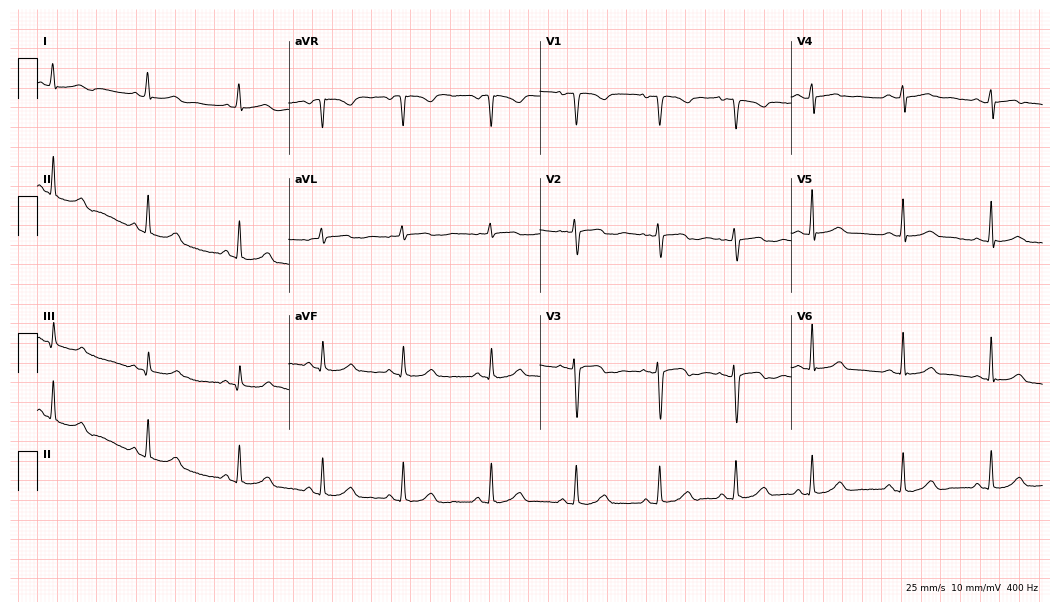
12-lead ECG from a 26-year-old female. Labelled as a normal ECG.